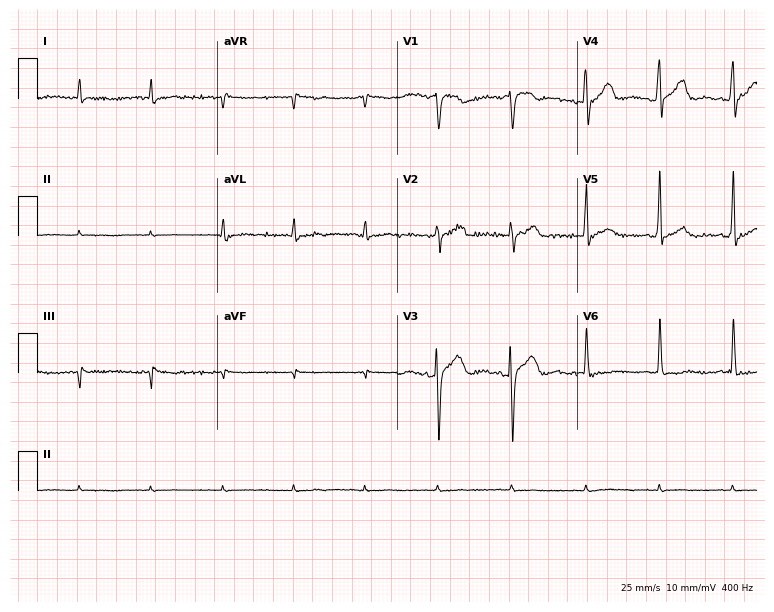
ECG (7.3-second recording at 400 Hz) — a female patient, 80 years old. Screened for six findings — first-degree AV block, right bundle branch block, left bundle branch block, sinus bradycardia, atrial fibrillation, sinus tachycardia — none is recorded.